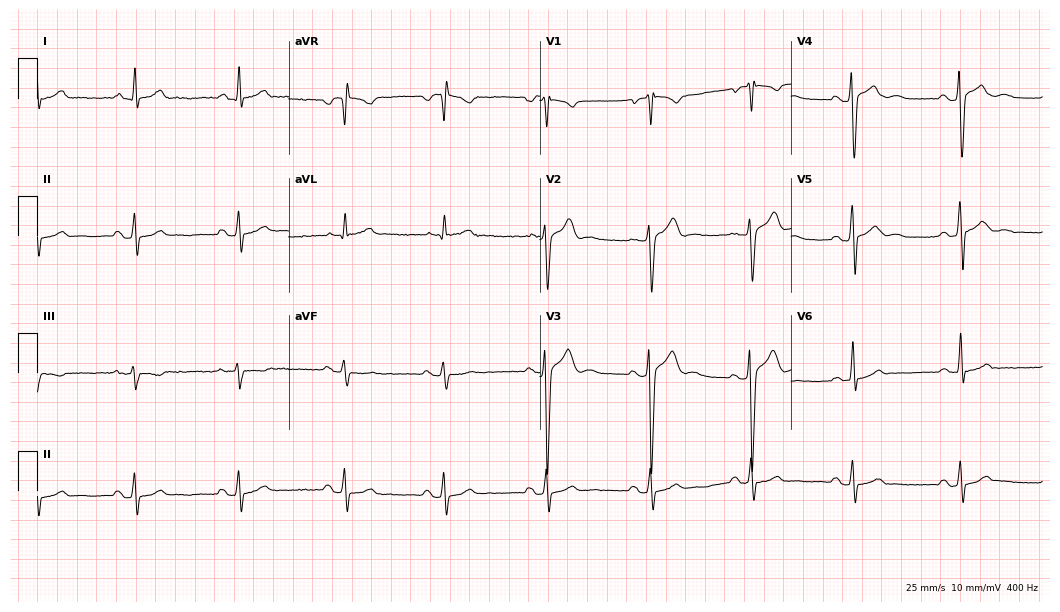
ECG (10.2-second recording at 400 Hz) — a 37-year-old female. Labelled as a normal ECG.